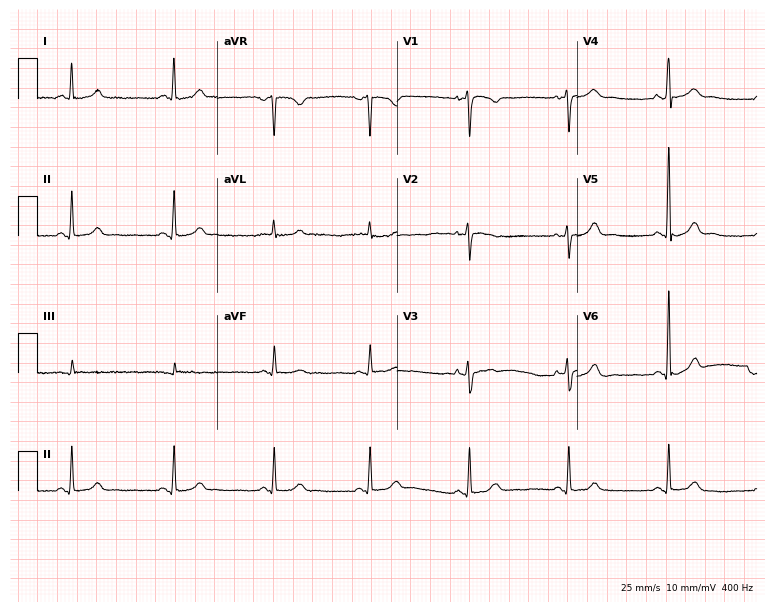
12-lead ECG from a woman, 41 years old. Labelled as a normal ECG.